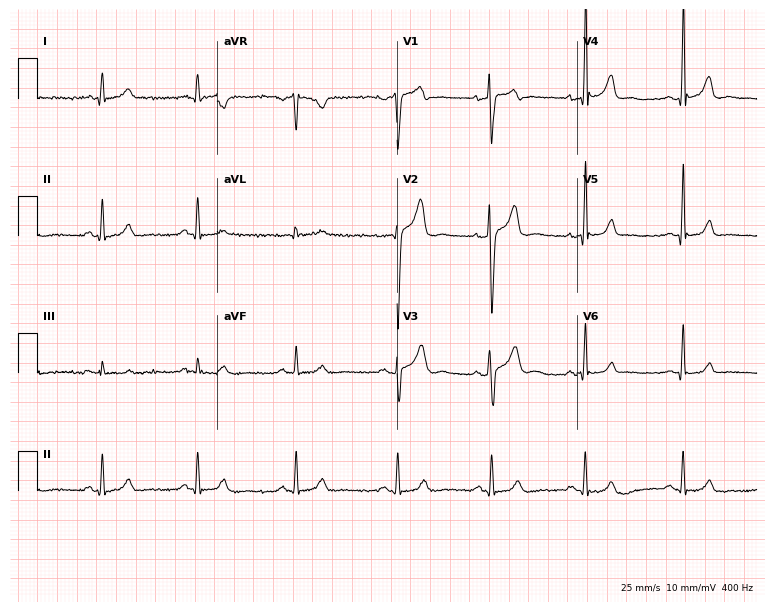
12-lead ECG from a man, 41 years old. Labelled as a normal ECG.